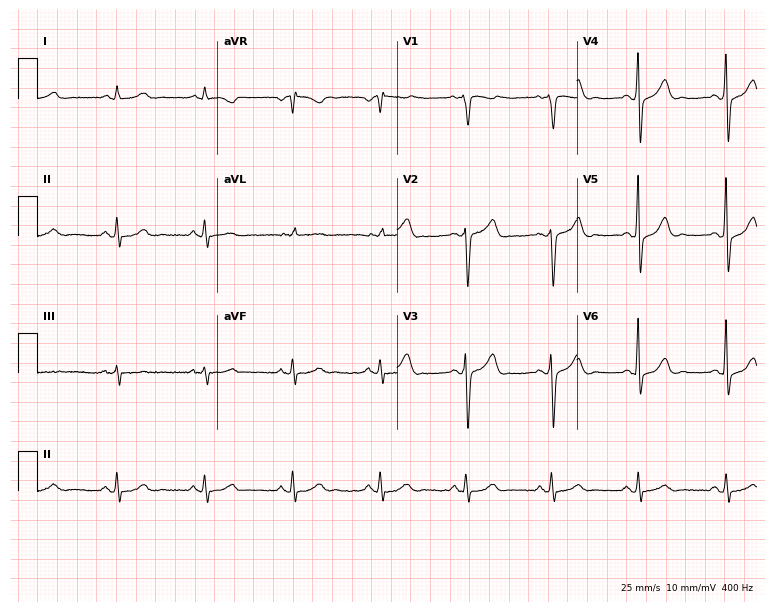
Resting 12-lead electrocardiogram. Patient: a male, 62 years old. Read as a normal ECG.